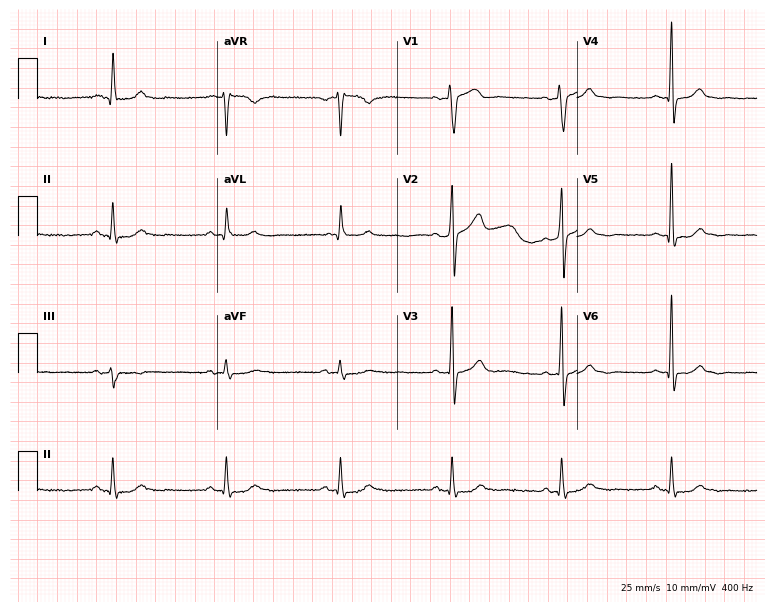
12-lead ECG from a 63-year-old man. Recorded interpretation: within normal limits.